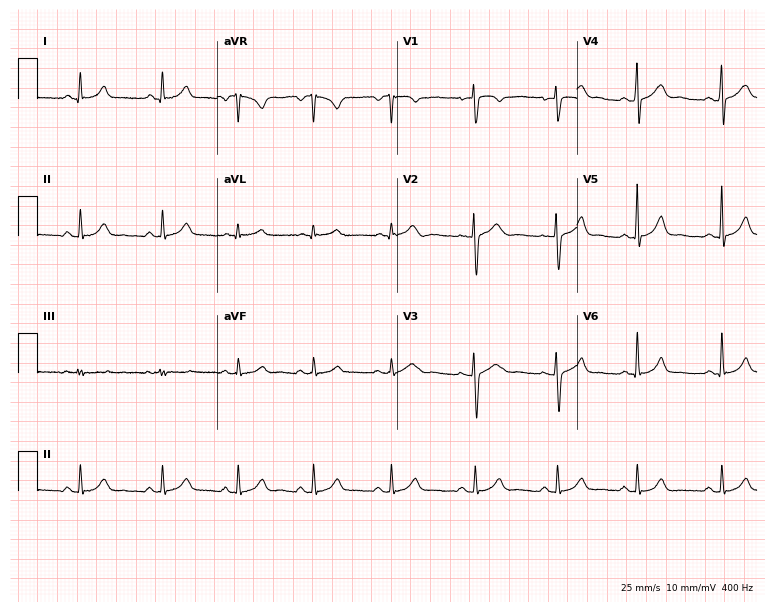
12-lead ECG from a female patient, 29 years old (7.3-second recording at 400 Hz). Recorded interpretation: within normal limits.